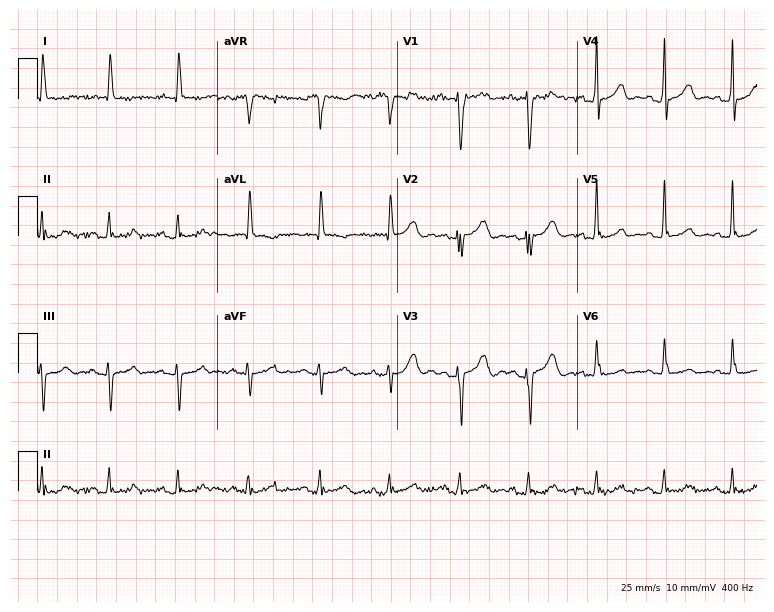
Standard 12-lead ECG recorded from a 75-year-old woman. None of these six findings is recorded: first-degree AV block, right bundle branch block, left bundle branch block, sinus bradycardia, atrial fibrillation, sinus tachycardia.